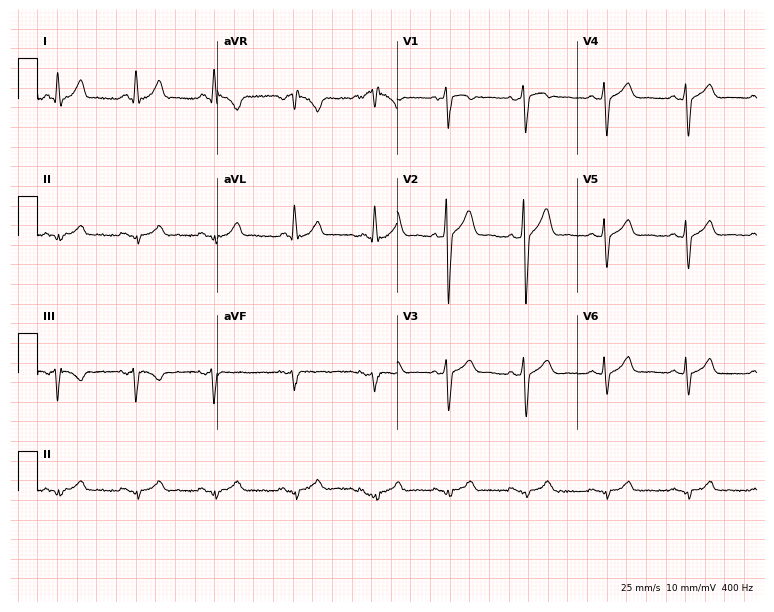
12-lead ECG from a 33-year-old male patient. No first-degree AV block, right bundle branch block, left bundle branch block, sinus bradycardia, atrial fibrillation or sinus tachycardia recorded for this tracing. Other findings, if any, are not listed.